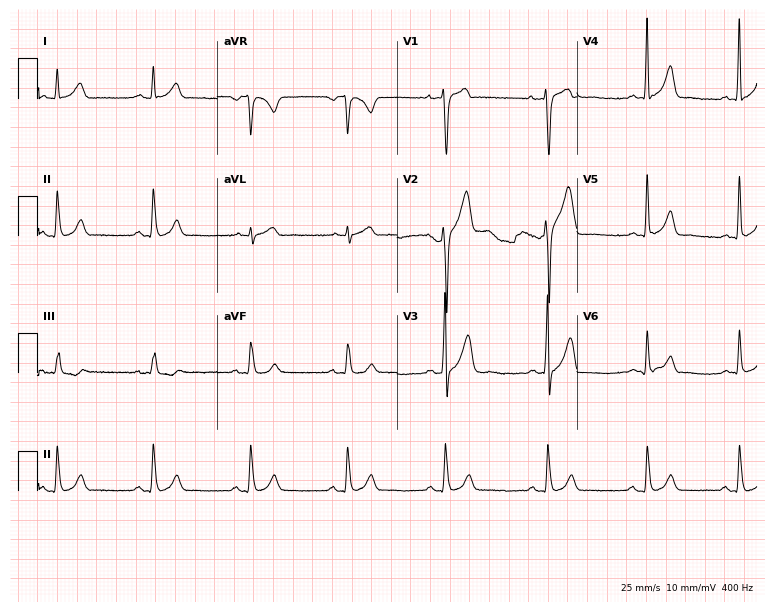
Standard 12-lead ECG recorded from a man, 38 years old (7.3-second recording at 400 Hz). Read as a normal ECG.